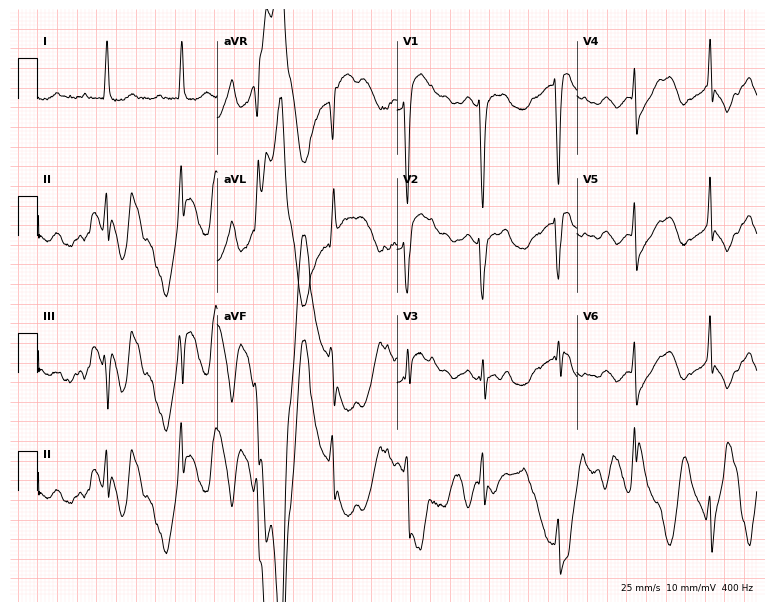
ECG — a woman, 81 years old. Screened for six findings — first-degree AV block, right bundle branch block (RBBB), left bundle branch block (LBBB), sinus bradycardia, atrial fibrillation (AF), sinus tachycardia — none is recorded. Findings outside these six are not listed.